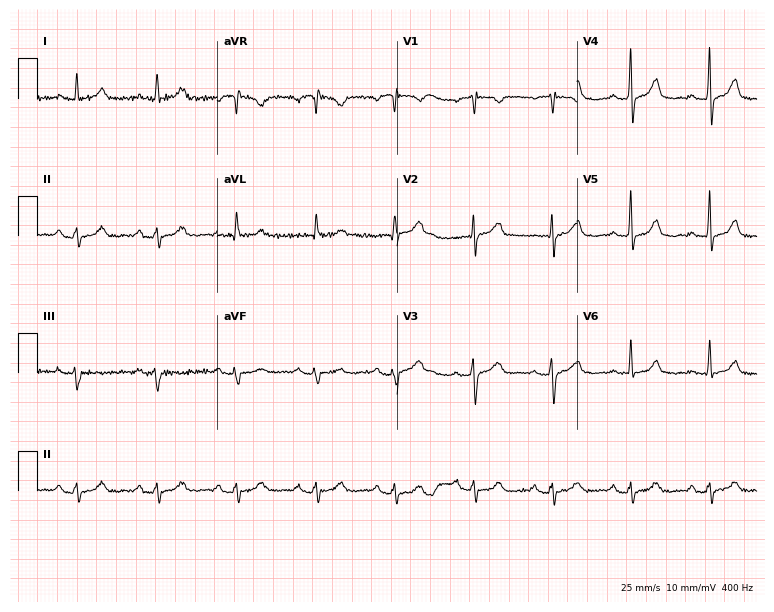
Resting 12-lead electrocardiogram. Patient: a female, 78 years old. Read as a normal ECG.